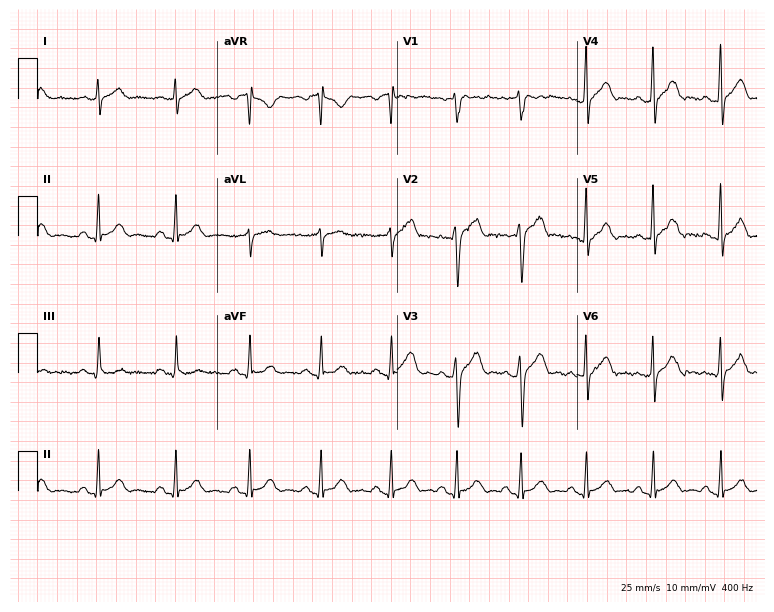
12-lead ECG from a female, 59 years old. Labelled as a normal ECG.